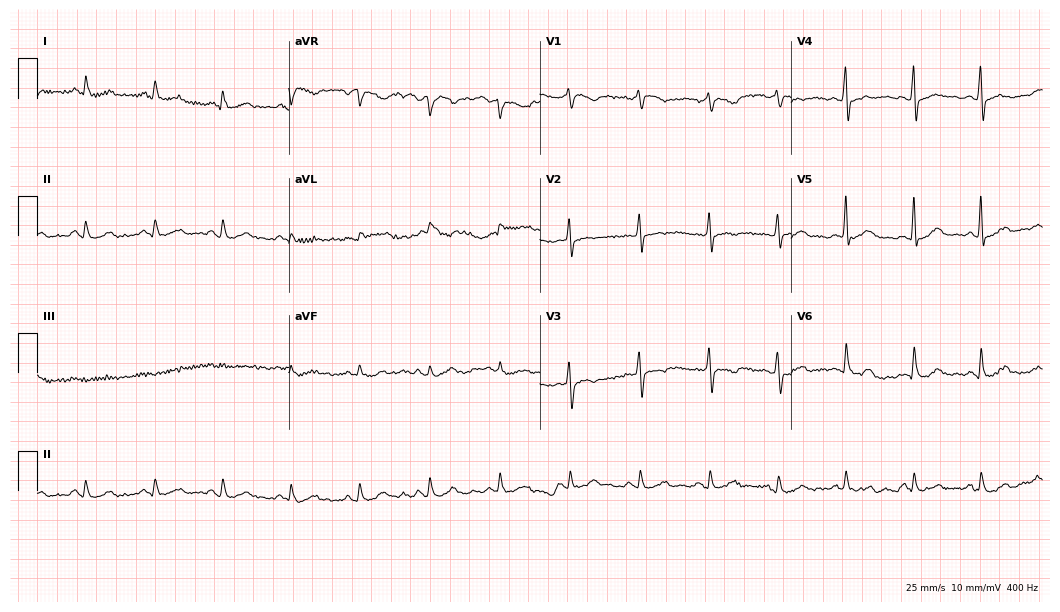
Resting 12-lead electrocardiogram. Patient: a 53-year-old man. None of these six findings is recorded: first-degree AV block, right bundle branch block (RBBB), left bundle branch block (LBBB), sinus bradycardia, atrial fibrillation (AF), sinus tachycardia.